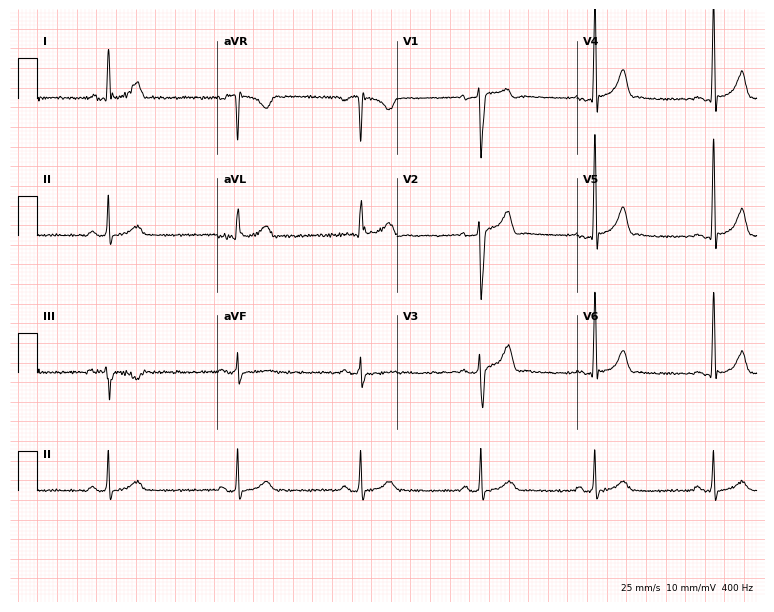
Resting 12-lead electrocardiogram (7.3-second recording at 400 Hz). Patient: a male, 38 years old. None of these six findings is recorded: first-degree AV block, right bundle branch block, left bundle branch block, sinus bradycardia, atrial fibrillation, sinus tachycardia.